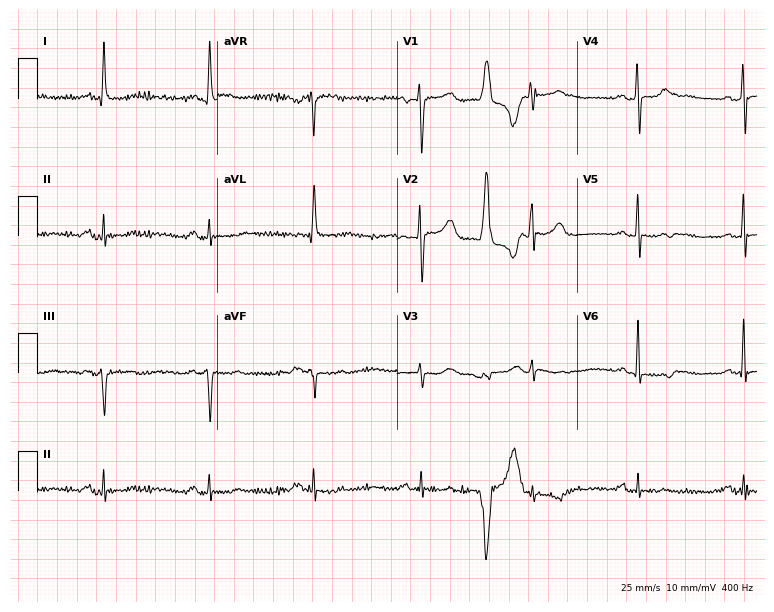
Electrocardiogram, a 70-year-old woman. Overall reading on record: normal ECG.